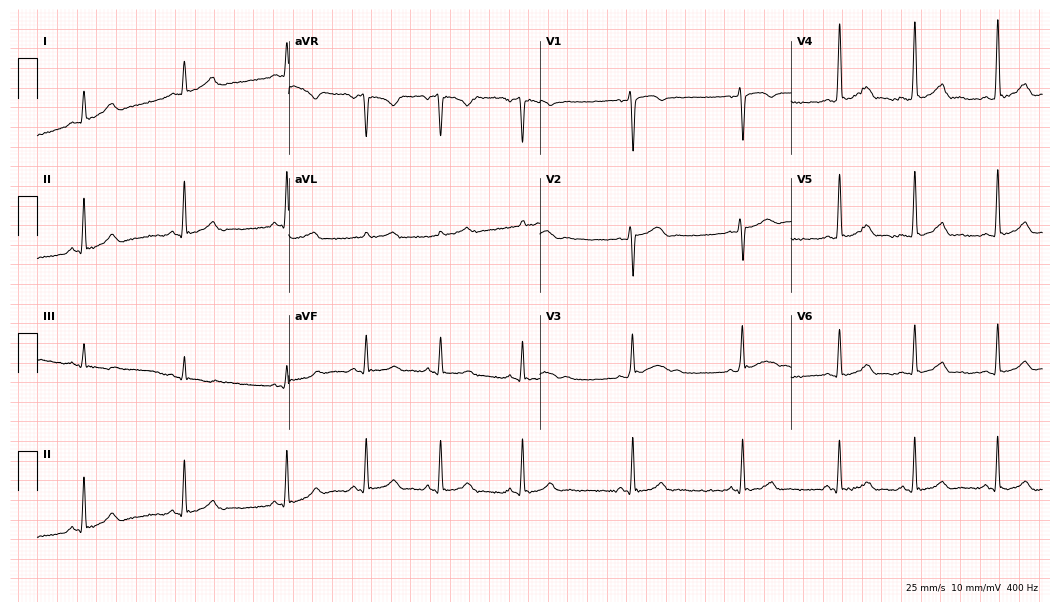
Resting 12-lead electrocardiogram. Patient: a male, 20 years old. Read as a normal ECG.